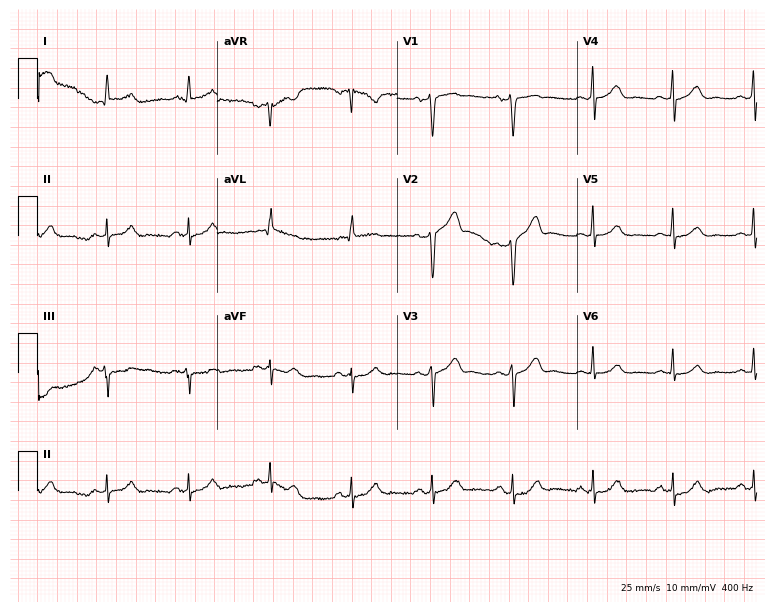
Electrocardiogram, a 53-year-old male patient. Of the six screened findings (first-degree AV block, right bundle branch block, left bundle branch block, sinus bradycardia, atrial fibrillation, sinus tachycardia), none is recorded.